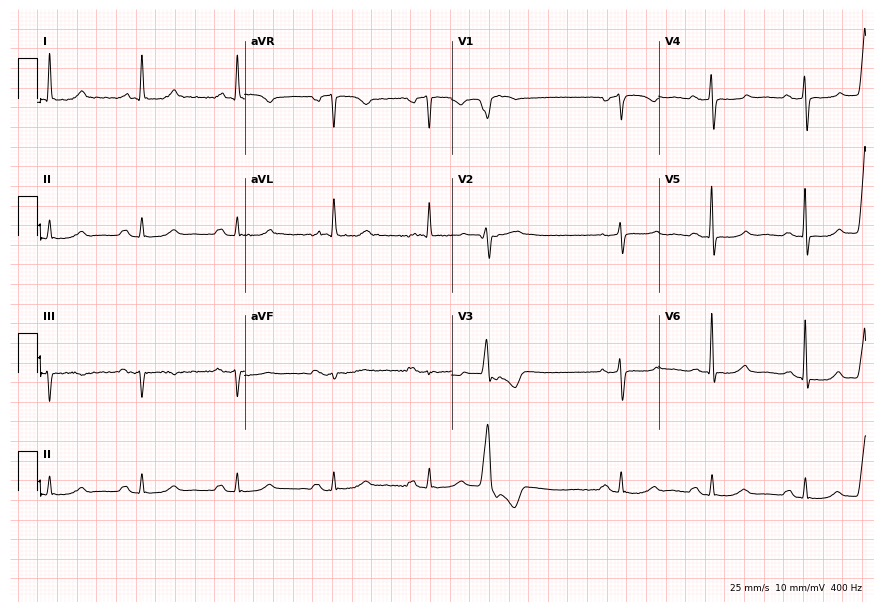
Electrocardiogram (8.4-second recording at 400 Hz), a woman, 71 years old. Of the six screened findings (first-degree AV block, right bundle branch block, left bundle branch block, sinus bradycardia, atrial fibrillation, sinus tachycardia), none is recorded. Only these six findings were labelled.